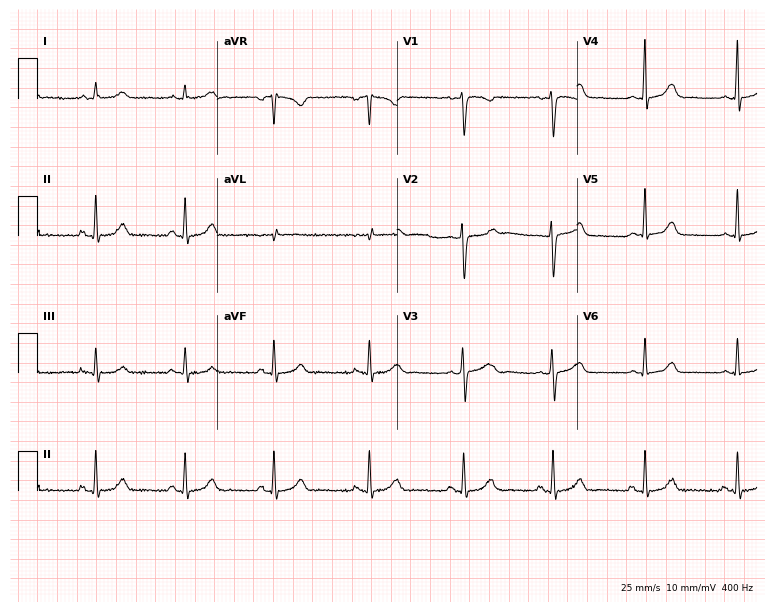
Resting 12-lead electrocardiogram. Patient: a 35-year-old female. Read as a normal ECG.